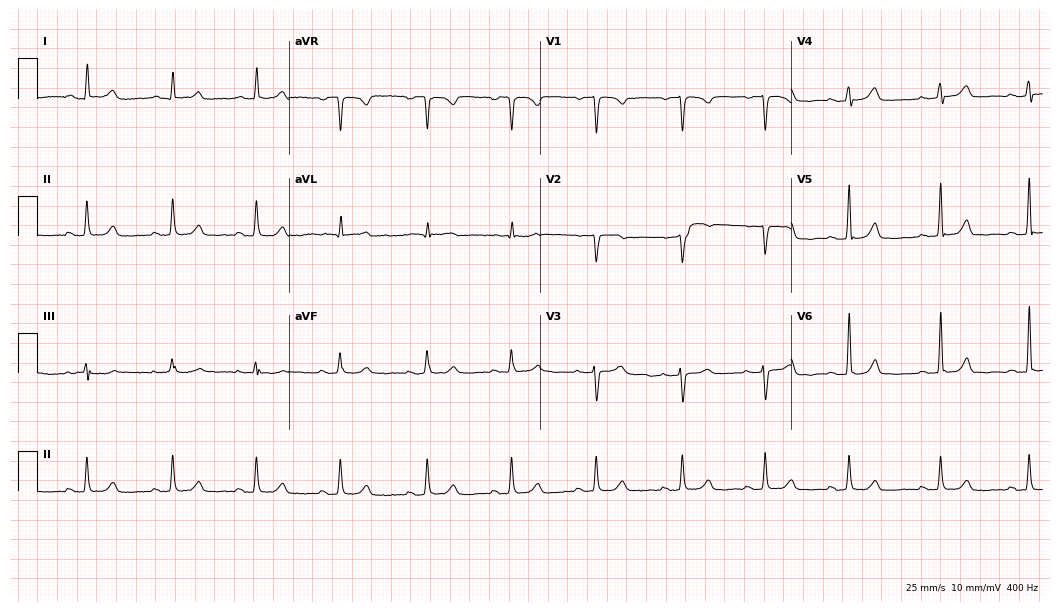
Resting 12-lead electrocardiogram. Patient: a 64-year-old woman. None of these six findings is recorded: first-degree AV block, right bundle branch block, left bundle branch block, sinus bradycardia, atrial fibrillation, sinus tachycardia. Only these six findings were labelled.